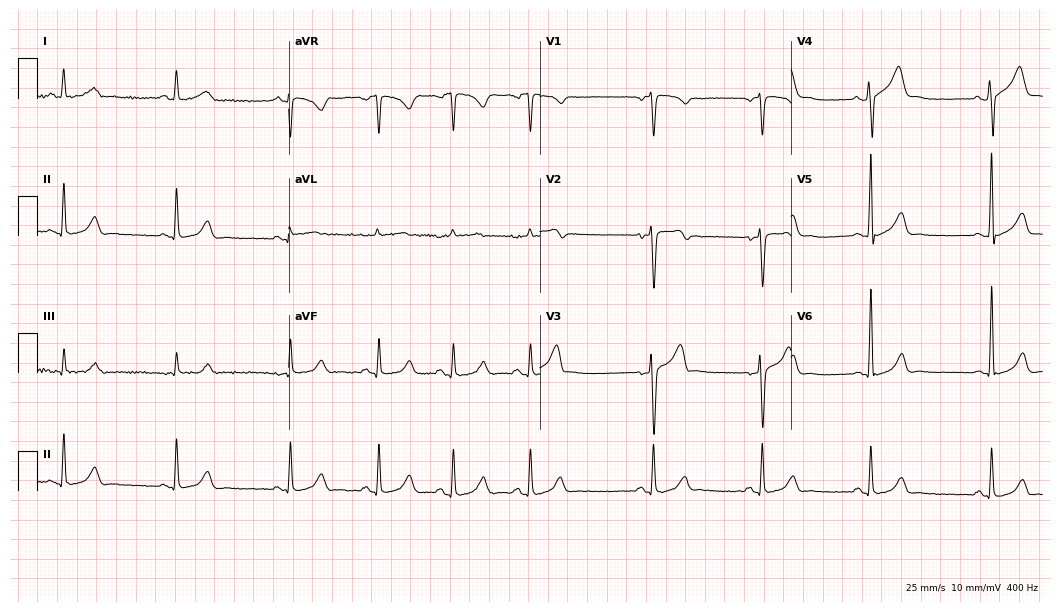
12-lead ECG (10.2-second recording at 400 Hz) from a man, 34 years old. Labelled as a normal ECG.